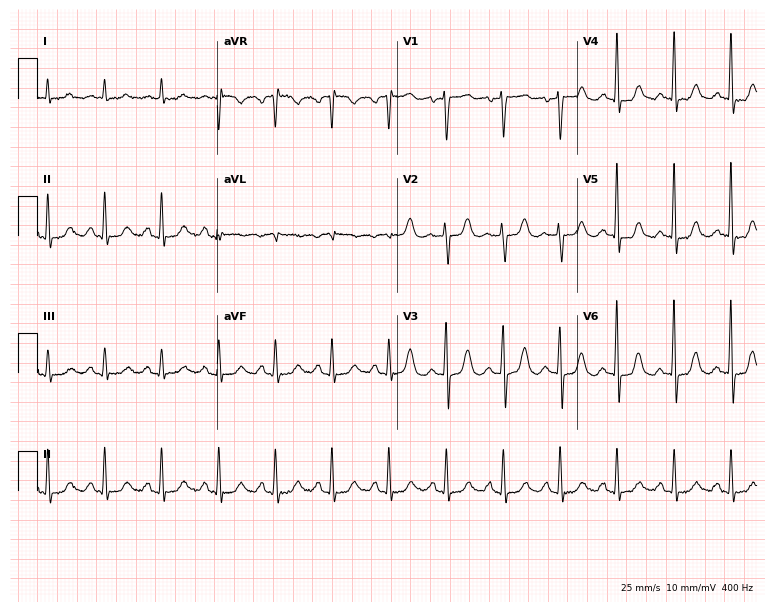
Resting 12-lead electrocardiogram. Patient: a 75-year-old male. The tracing shows sinus tachycardia (a sinus rate of 100 beats per minute or more).